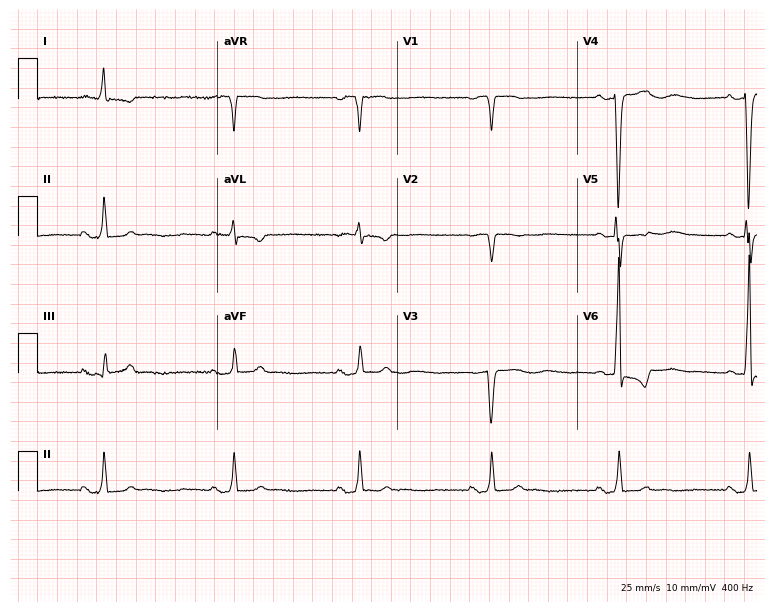
Electrocardiogram, a 76-year-old woman. Interpretation includes sinus bradycardia (a sinus rate of 50 beats per minute or less).